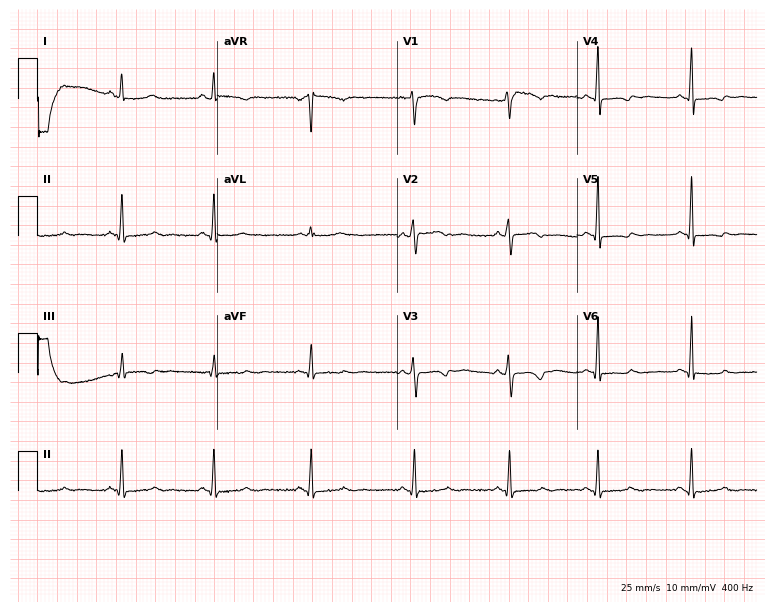
Resting 12-lead electrocardiogram (7.3-second recording at 400 Hz). Patient: a 47-year-old woman. None of these six findings is recorded: first-degree AV block, right bundle branch block, left bundle branch block, sinus bradycardia, atrial fibrillation, sinus tachycardia. Only these six findings were labelled.